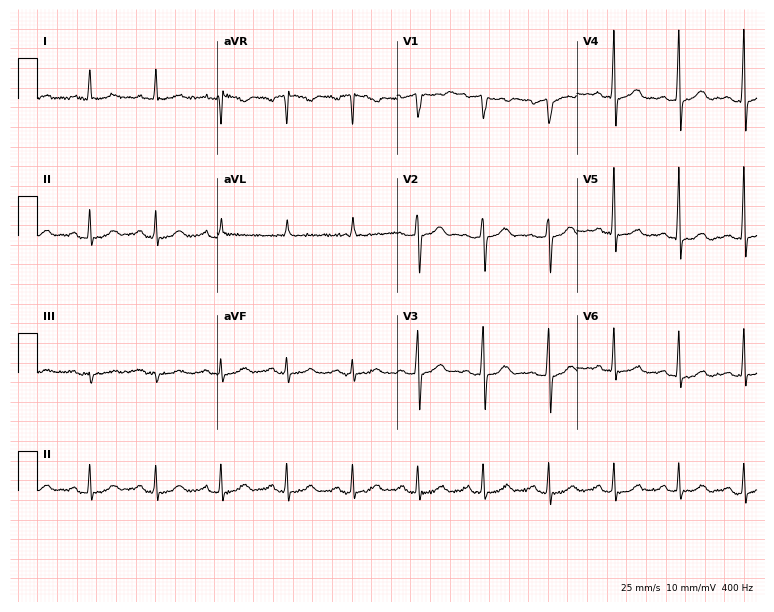
Resting 12-lead electrocardiogram. Patient: a man, 82 years old. Read as a normal ECG.